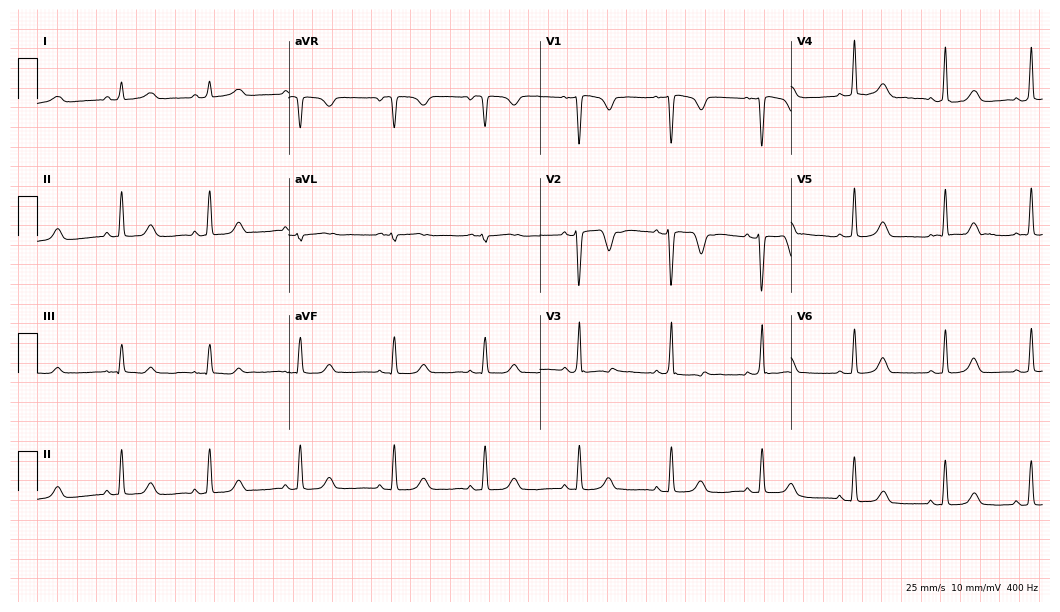
12-lead ECG from a female patient, 35 years old. Screened for six findings — first-degree AV block, right bundle branch block, left bundle branch block, sinus bradycardia, atrial fibrillation, sinus tachycardia — none is recorded.